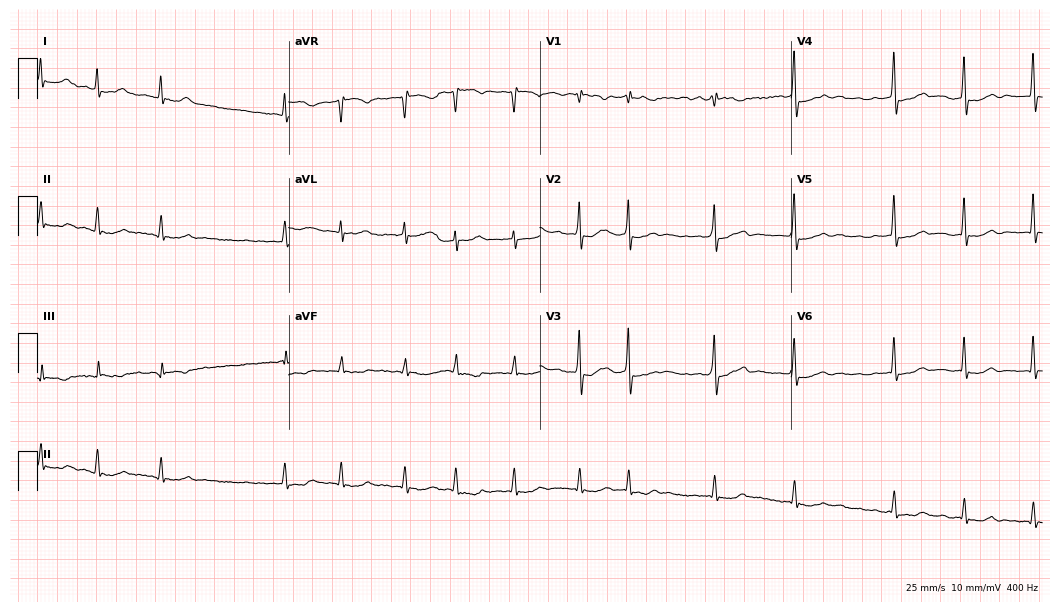
ECG (10.2-second recording at 400 Hz) — a 61-year-old woman. Screened for six findings — first-degree AV block, right bundle branch block, left bundle branch block, sinus bradycardia, atrial fibrillation, sinus tachycardia — none is recorded. Other findings, if any, are not listed.